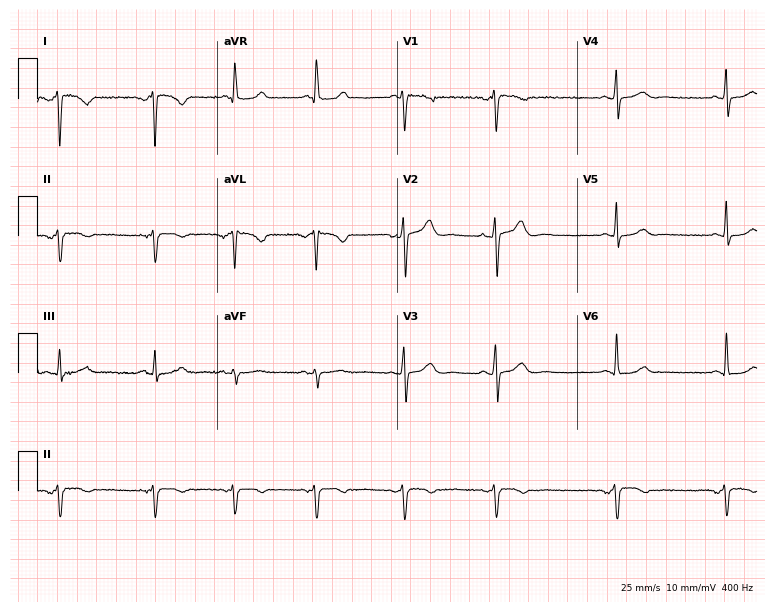
Electrocardiogram, a 42-year-old female patient. Of the six screened findings (first-degree AV block, right bundle branch block, left bundle branch block, sinus bradycardia, atrial fibrillation, sinus tachycardia), none is recorded.